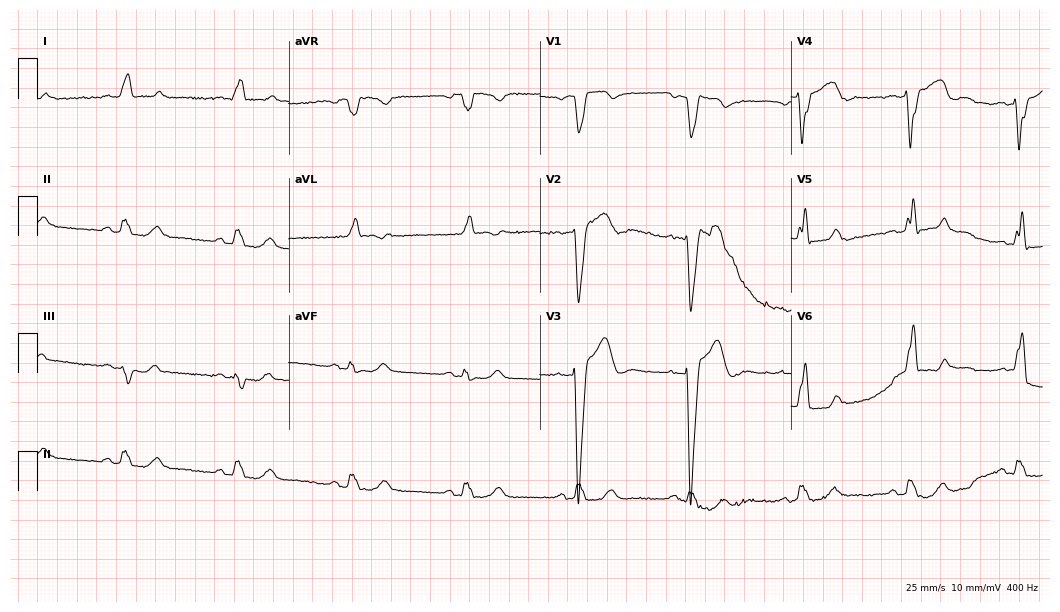
12-lead ECG from a man, 72 years old. Findings include left bundle branch block.